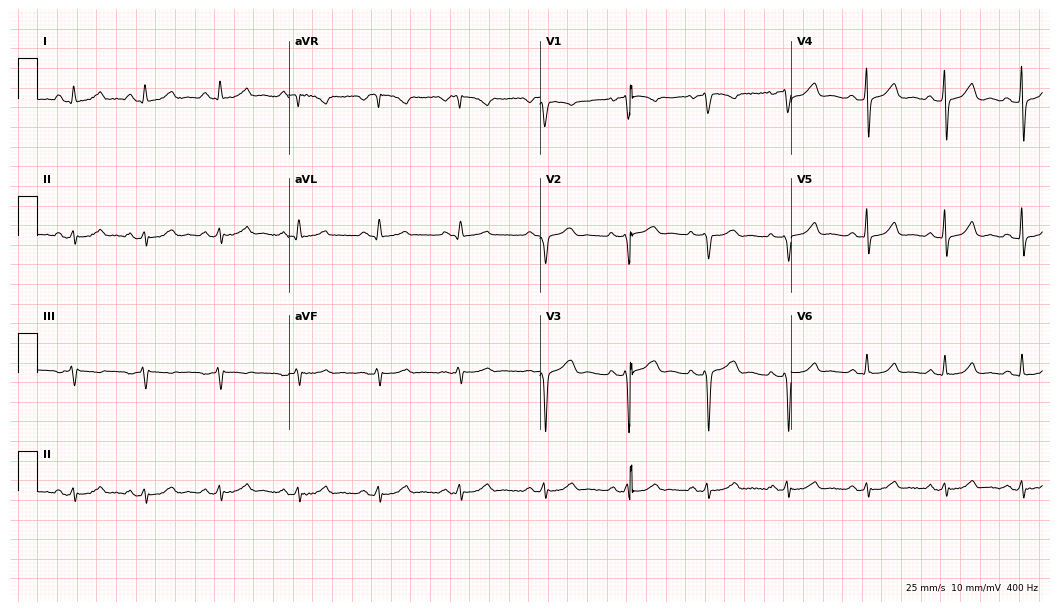
Standard 12-lead ECG recorded from a woman, 38 years old. None of these six findings is recorded: first-degree AV block, right bundle branch block (RBBB), left bundle branch block (LBBB), sinus bradycardia, atrial fibrillation (AF), sinus tachycardia. Other findings, if any, are not listed.